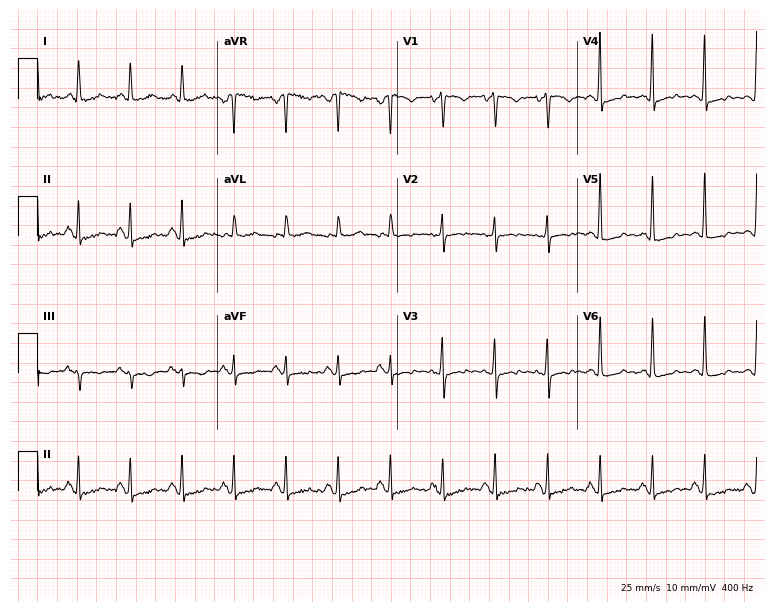
Resting 12-lead electrocardiogram. Patient: a 43-year-old woman. The tracing shows sinus tachycardia (a sinus rate of 100 beats per minute or more).